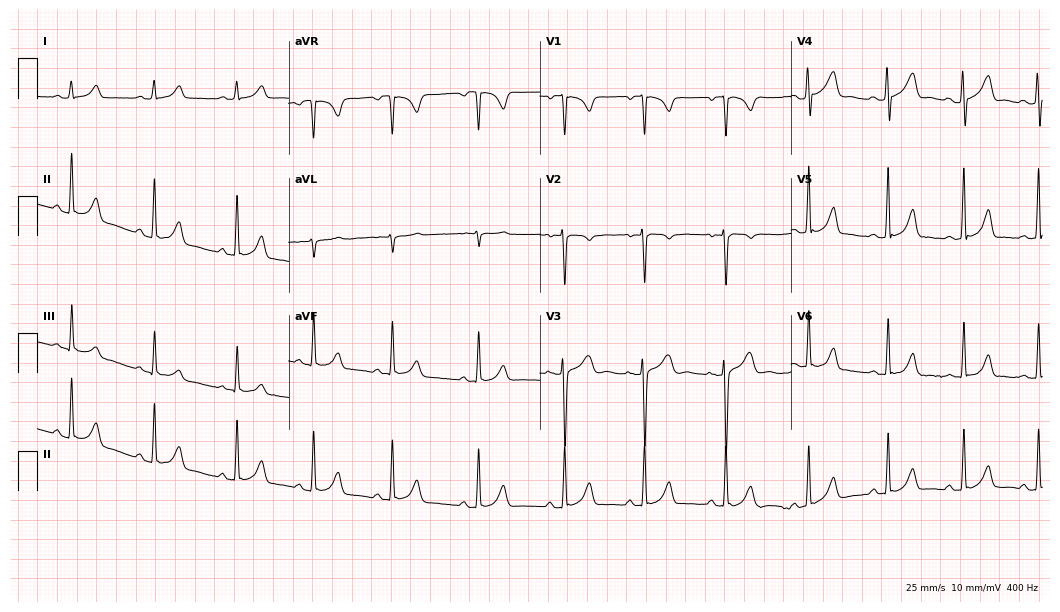
Resting 12-lead electrocardiogram (10.2-second recording at 400 Hz). Patient: an 18-year-old female. Read as a normal ECG.